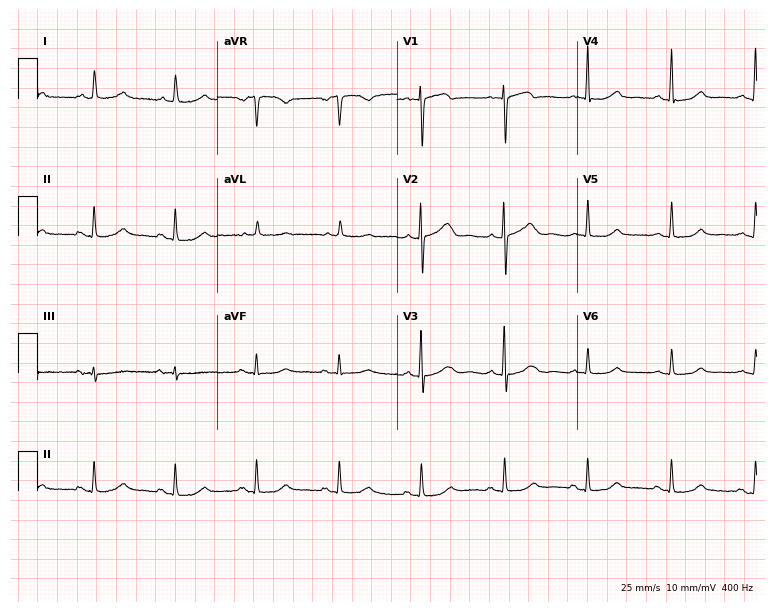
12-lead ECG from a 76-year-old female. Screened for six findings — first-degree AV block, right bundle branch block (RBBB), left bundle branch block (LBBB), sinus bradycardia, atrial fibrillation (AF), sinus tachycardia — none is recorded. Other findings, if any, are not listed.